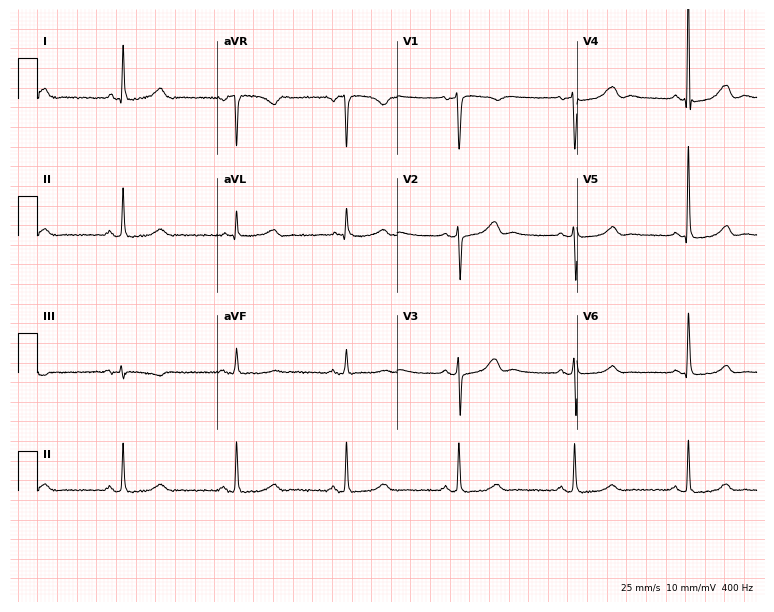
12-lead ECG from a 69-year-old female patient. Recorded interpretation: within normal limits.